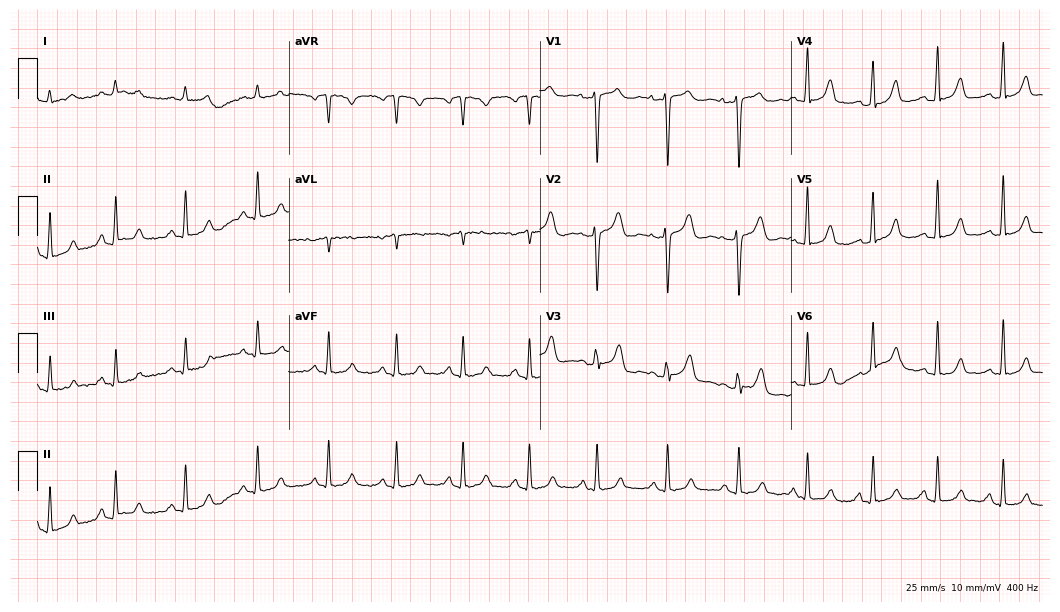
Electrocardiogram (10.2-second recording at 400 Hz), a female, 43 years old. Overall reading on record: normal ECG.